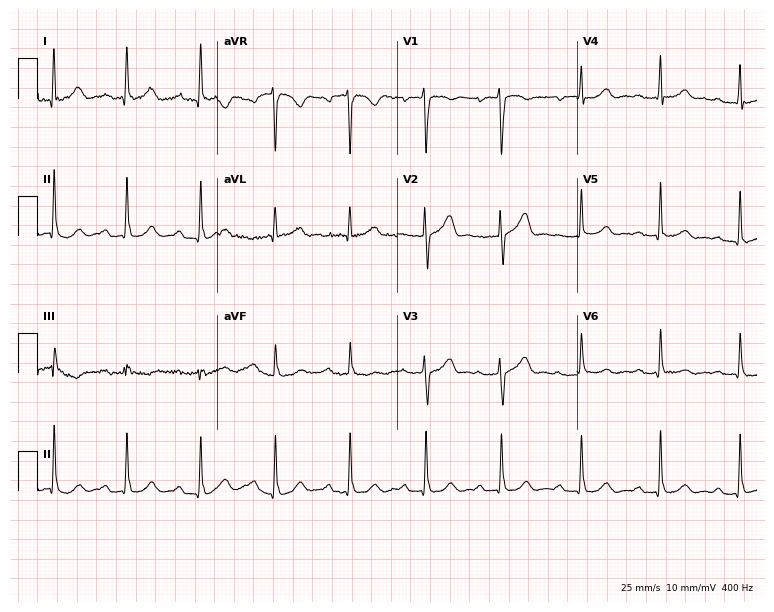
12-lead ECG (7.3-second recording at 400 Hz) from a male patient, 47 years old. Findings include first-degree AV block.